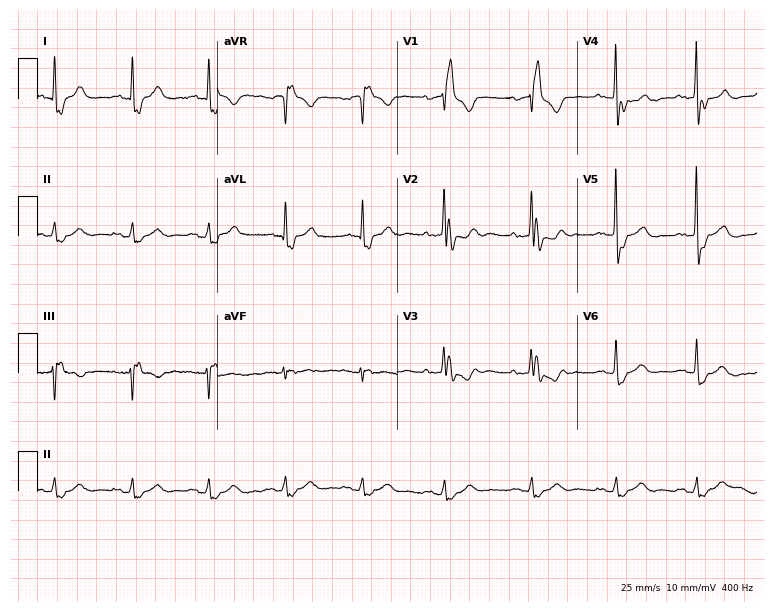
Resting 12-lead electrocardiogram (7.3-second recording at 400 Hz). Patient: a man, 74 years old. The tracing shows right bundle branch block.